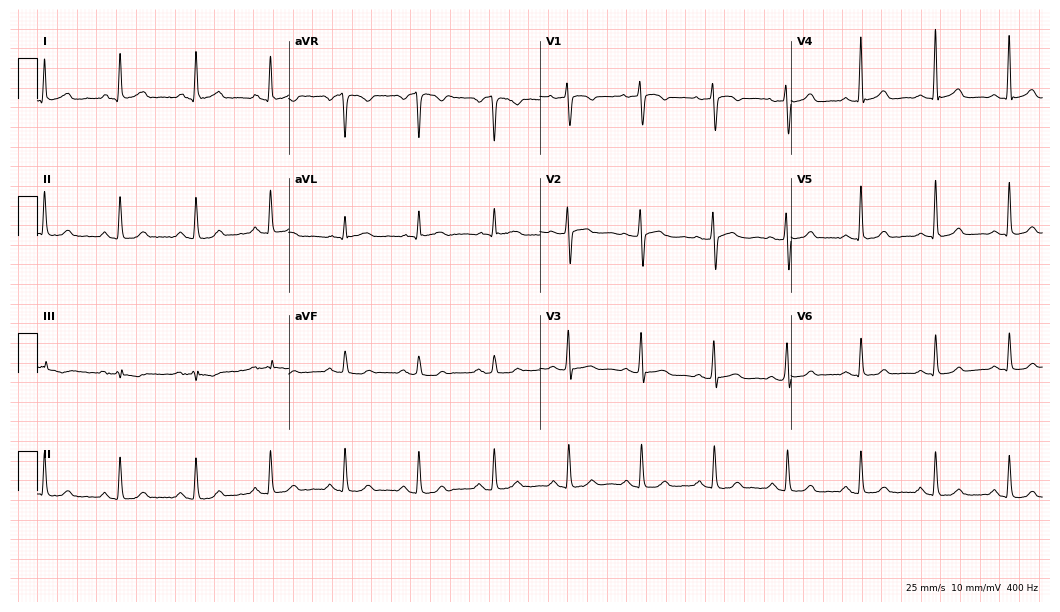
ECG — a woman, 67 years old. Labelled as a normal ECG.